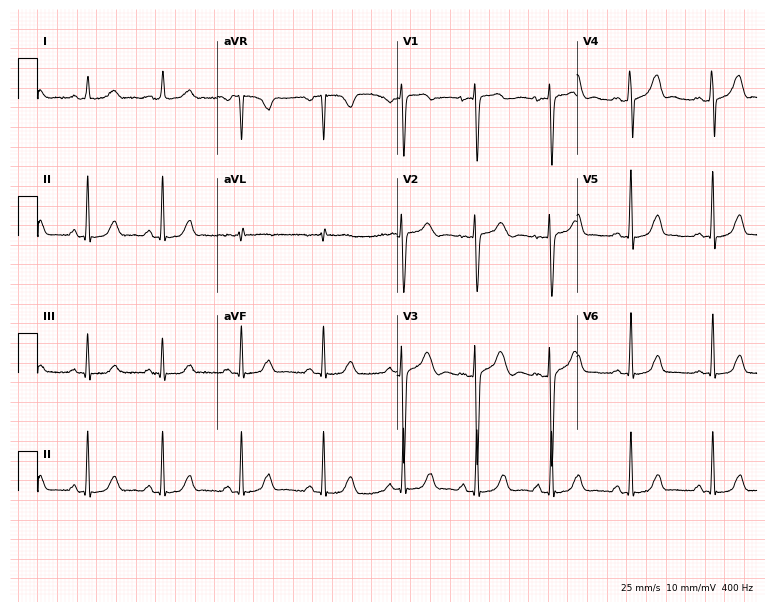
Resting 12-lead electrocardiogram (7.3-second recording at 400 Hz). Patient: a 19-year-old female. None of these six findings is recorded: first-degree AV block, right bundle branch block, left bundle branch block, sinus bradycardia, atrial fibrillation, sinus tachycardia. Only these six findings were labelled.